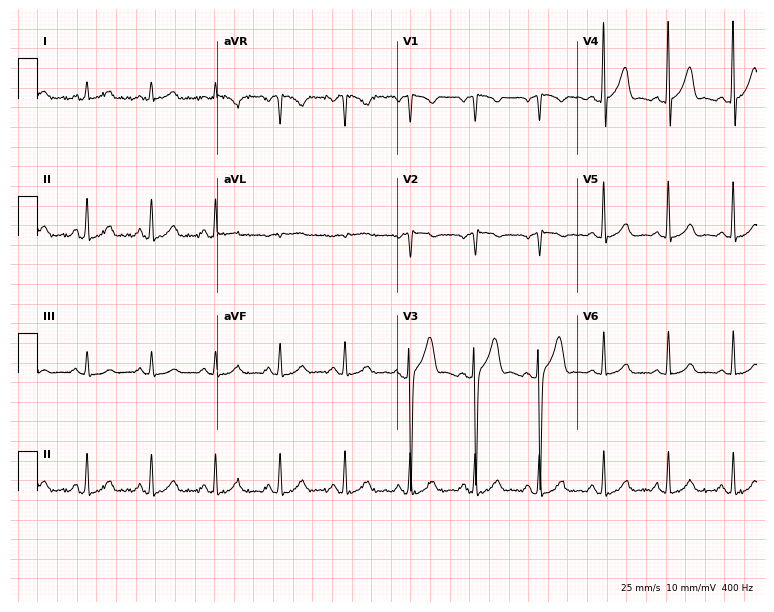
ECG (7.3-second recording at 400 Hz) — a 50-year-old male. Labelled as a normal ECG.